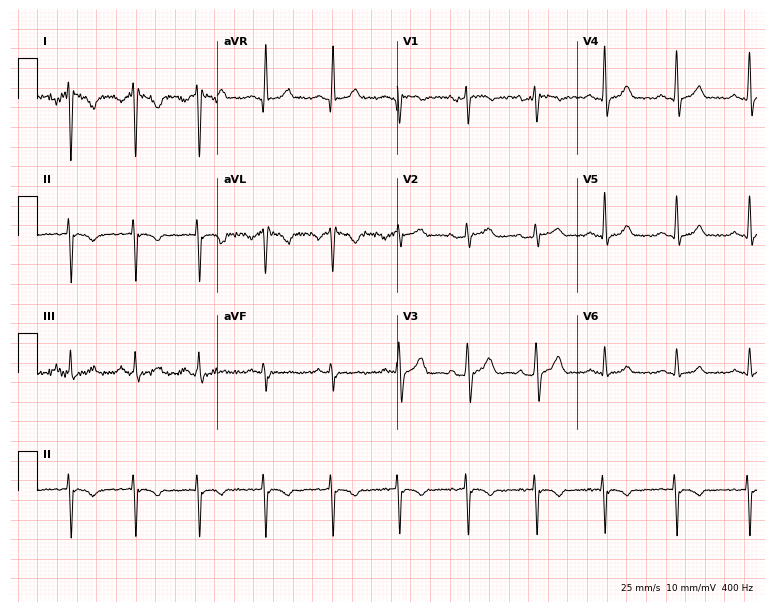
12-lead ECG from a woman, 24 years old. No first-degree AV block, right bundle branch block, left bundle branch block, sinus bradycardia, atrial fibrillation or sinus tachycardia recorded for this tracing. Only these six findings were labelled.